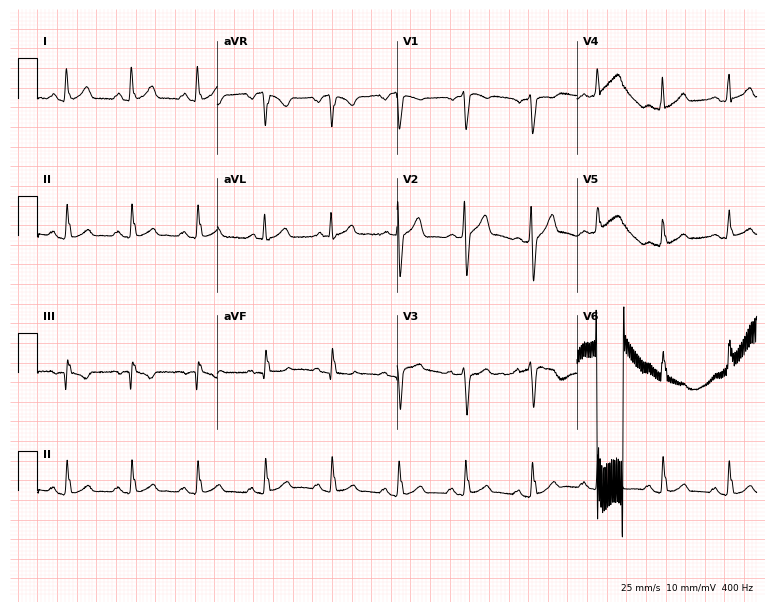
Electrocardiogram (7.3-second recording at 400 Hz), a 38-year-old male patient. Overall reading on record: normal ECG.